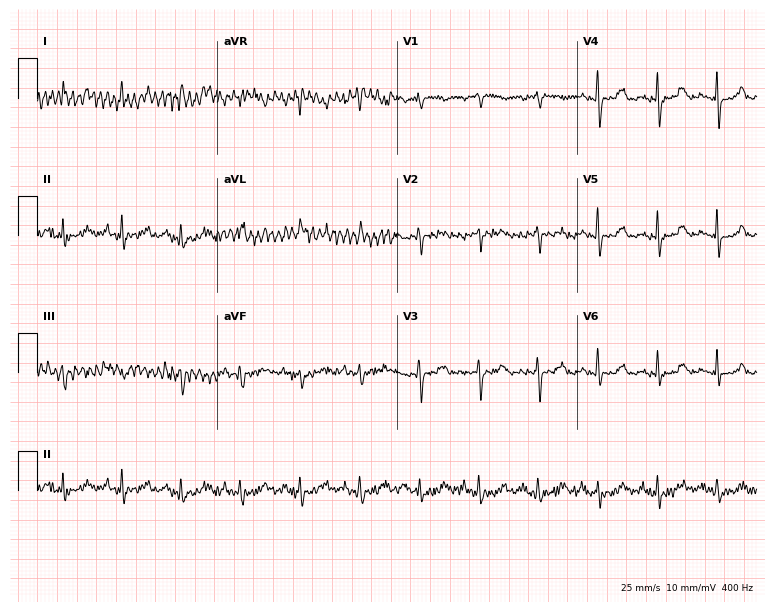
Resting 12-lead electrocardiogram (7.3-second recording at 400 Hz). Patient: an 83-year-old female. None of these six findings is recorded: first-degree AV block, right bundle branch block, left bundle branch block, sinus bradycardia, atrial fibrillation, sinus tachycardia. Only these six findings were labelled.